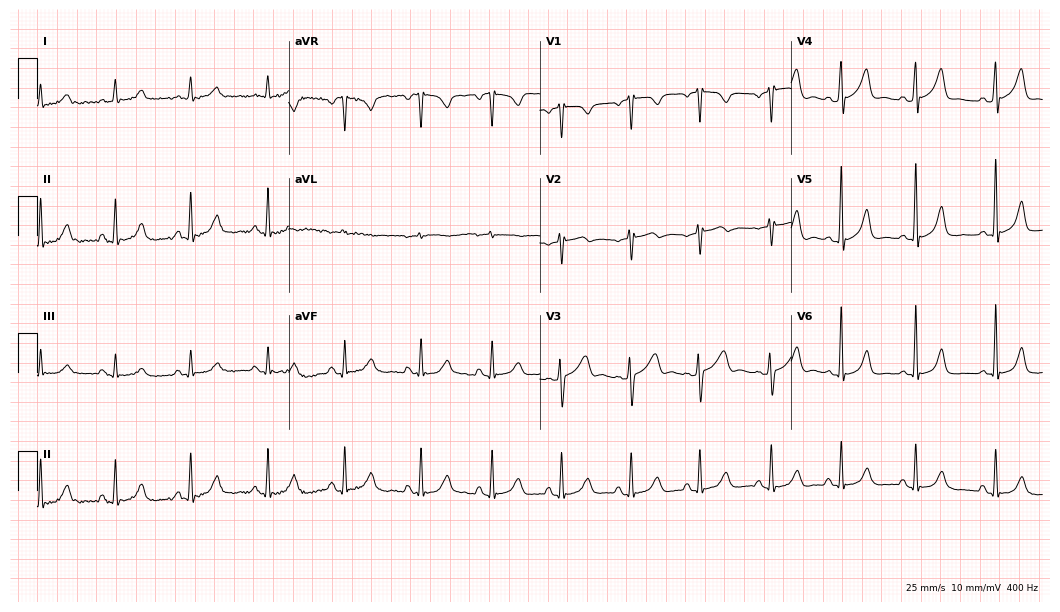
Resting 12-lead electrocardiogram (10.2-second recording at 400 Hz). Patient: a 51-year-old male. Read as a normal ECG.